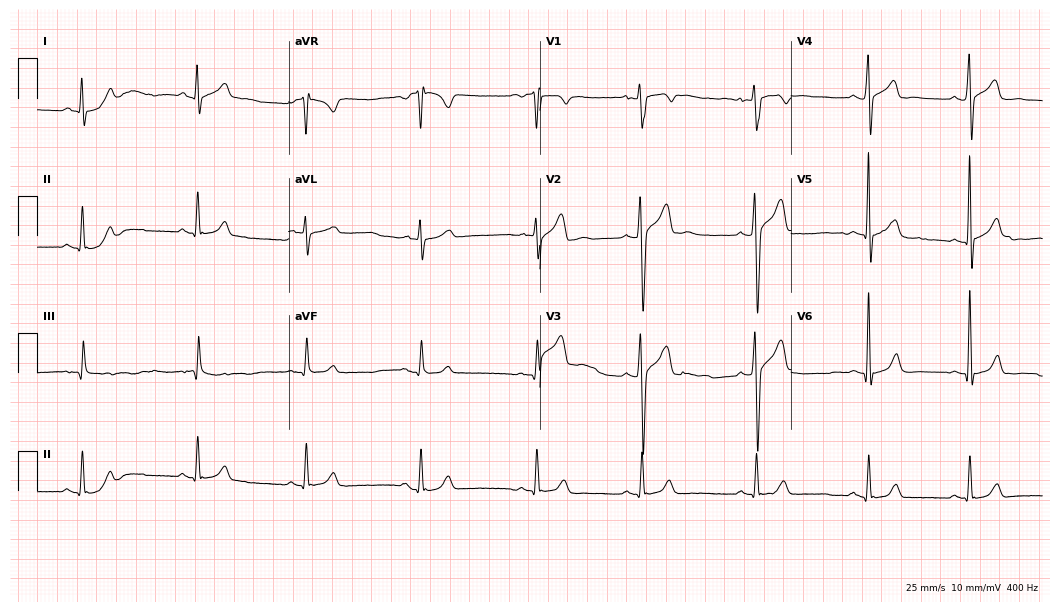
ECG — a male, 28 years old. Labelled as a normal ECG.